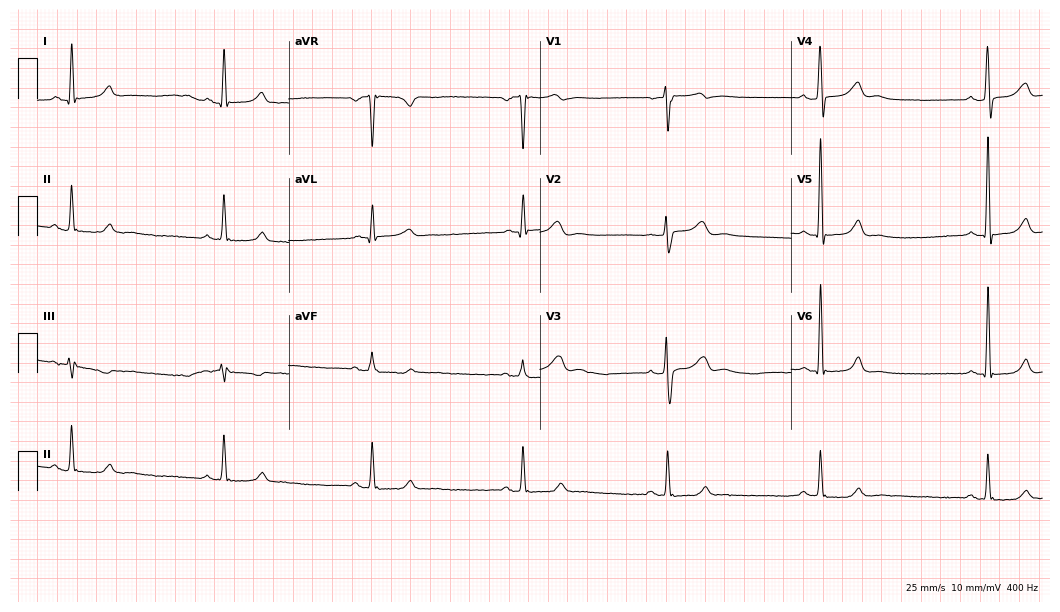
Standard 12-lead ECG recorded from a 48-year-old man (10.2-second recording at 400 Hz). The tracing shows sinus bradycardia (a sinus rate of 50 beats per minute or less).